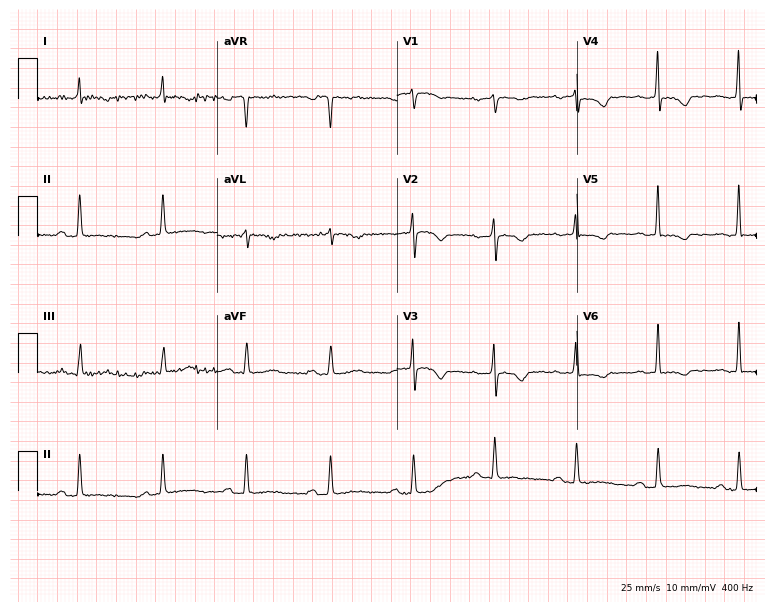
Resting 12-lead electrocardiogram (7.3-second recording at 400 Hz). Patient: a 71-year-old female. None of these six findings is recorded: first-degree AV block, right bundle branch block, left bundle branch block, sinus bradycardia, atrial fibrillation, sinus tachycardia. Other findings, if any, are not listed.